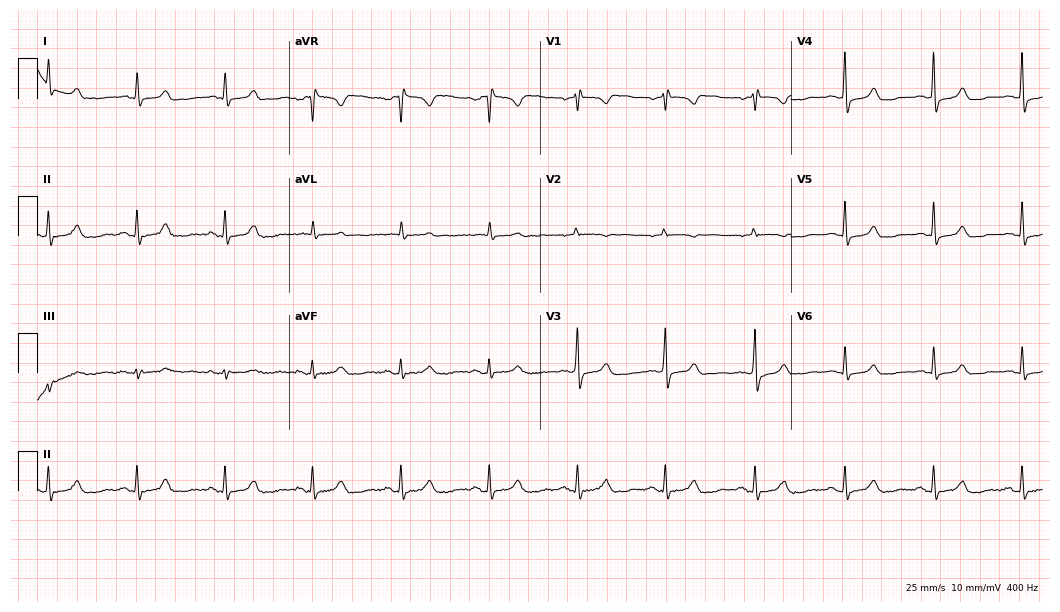
12-lead ECG (10.2-second recording at 400 Hz) from a female patient, 74 years old. Labelled as a normal ECG.